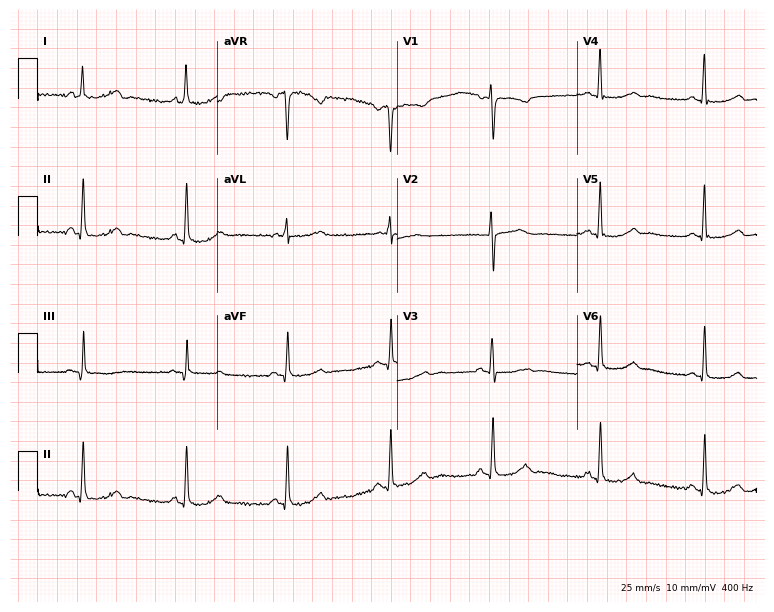
Resting 12-lead electrocardiogram. Patient: a 54-year-old female. Read as a normal ECG.